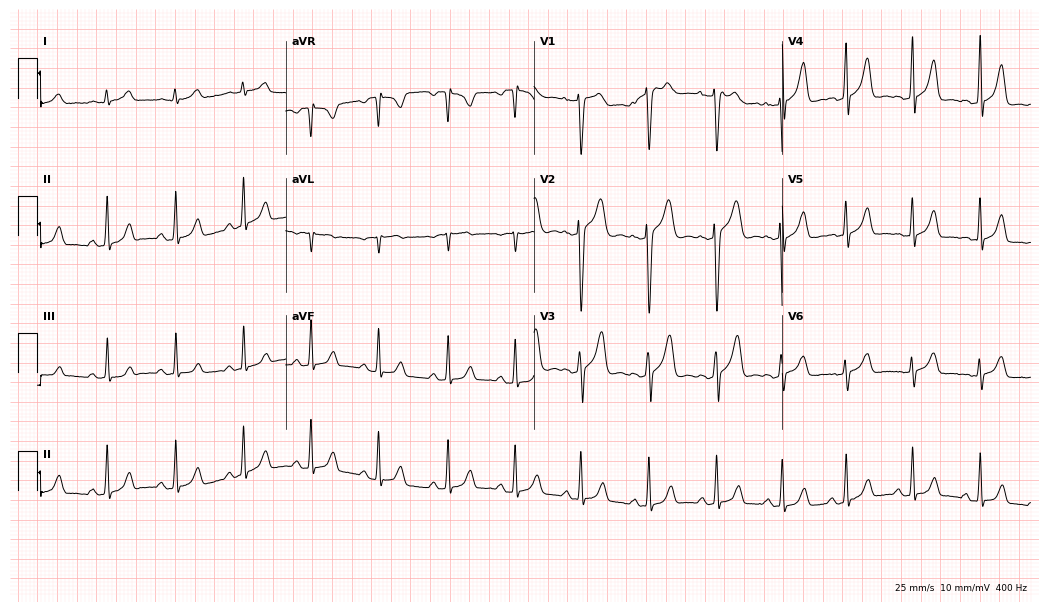
Electrocardiogram, a man, 38 years old. Overall reading on record: normal ECG.